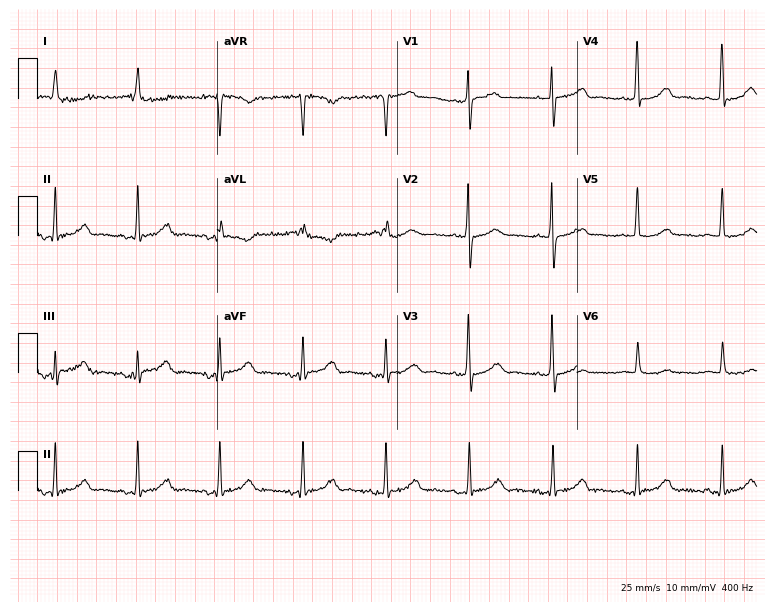
Standard 12-lead ECG recorded from a female patient, 85 years old (7.3-second recording at 400 Hz). None of these six findings is recorded: first-degree AV block, right bundle branch block, left bundle branch block, sinus bradycardia, atrial fibrillation, sinus tachycardia.